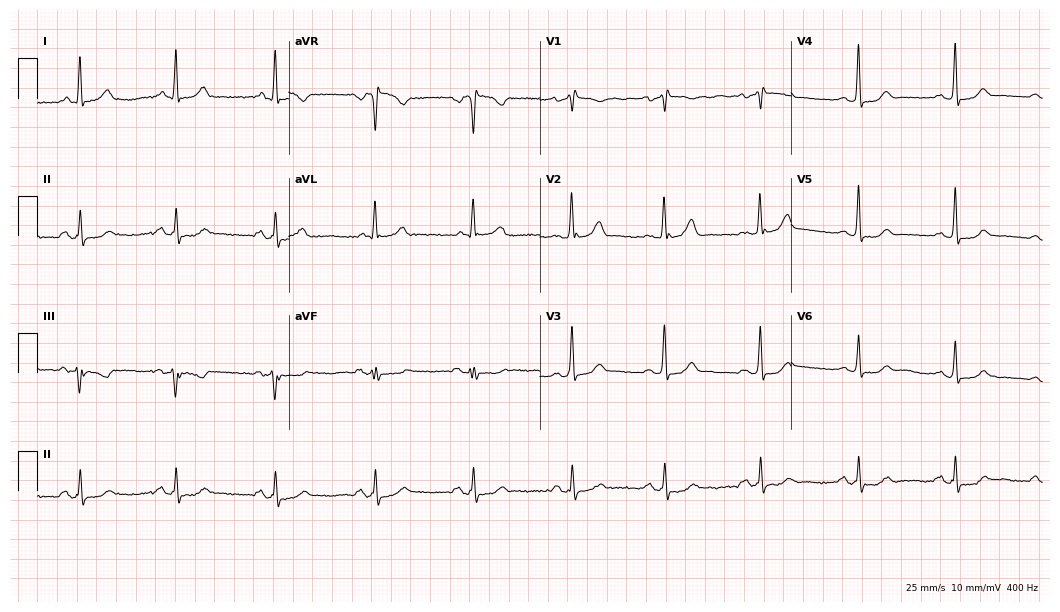
12-lead ECG from a female, 77 years old. Screened for six findings — first-degree AV block, right bundle branch block, left bundle branch block, sinus bradycardia, atrial fibrillation, sinus tachycardia — none is recorded. Findings outside these six are not listed.